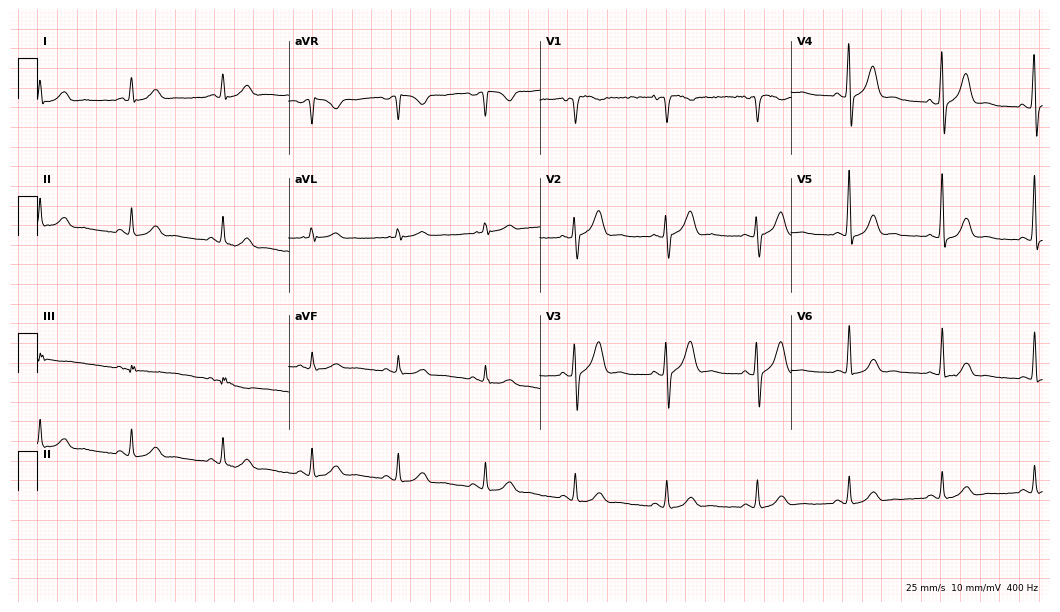
Resting 12-lead electrocardiogram. Patient: a 50-year-old male. Read as a normal ECG.